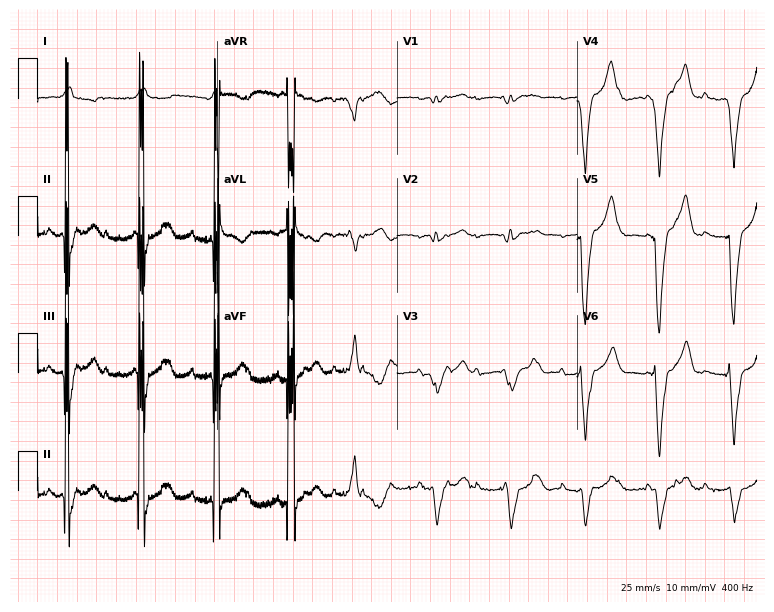
ECG (7.3-second recording at 400 Hz) — an 84-year-old male. Screened for six findings — first-degree AV block, right bundle branch block (RBBB), left bundle branch block (LBBB), sinus bradycardia, atrial fibrillation (AF), sinus tachycardia — none is recorded. Only these six findings were labelled.